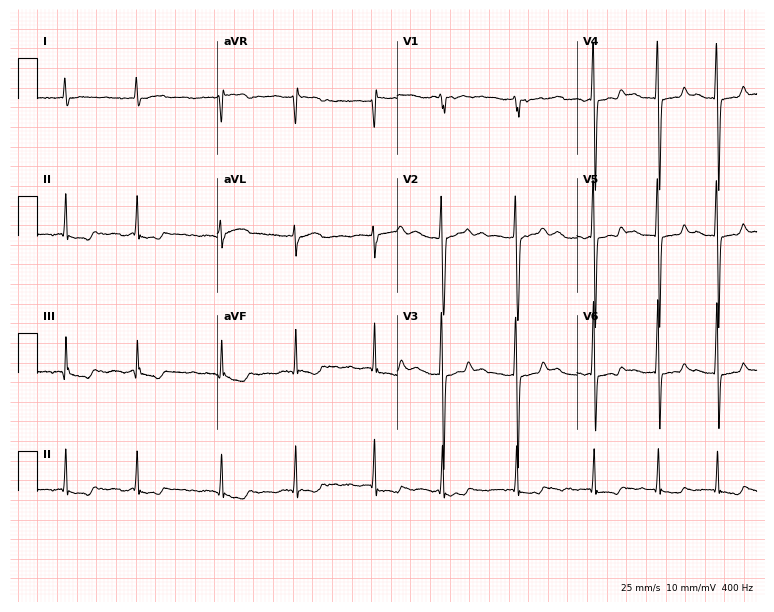
12-lead ECG from a woman, 50 years old. Findings include first-degree AV block.